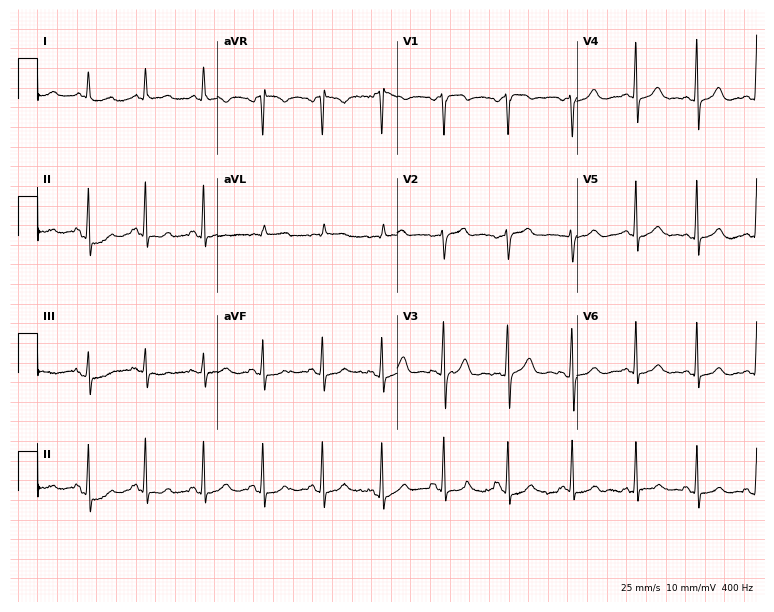
12-lead ECG from a 42-year-old woman. Screened for six findings — first-degree AV block, right bundle branch block, left bundle branch block, sinus bradycardia, atrial fibrillation, sinus tachycardia — none is recorded. Findings outside these six are not listed.